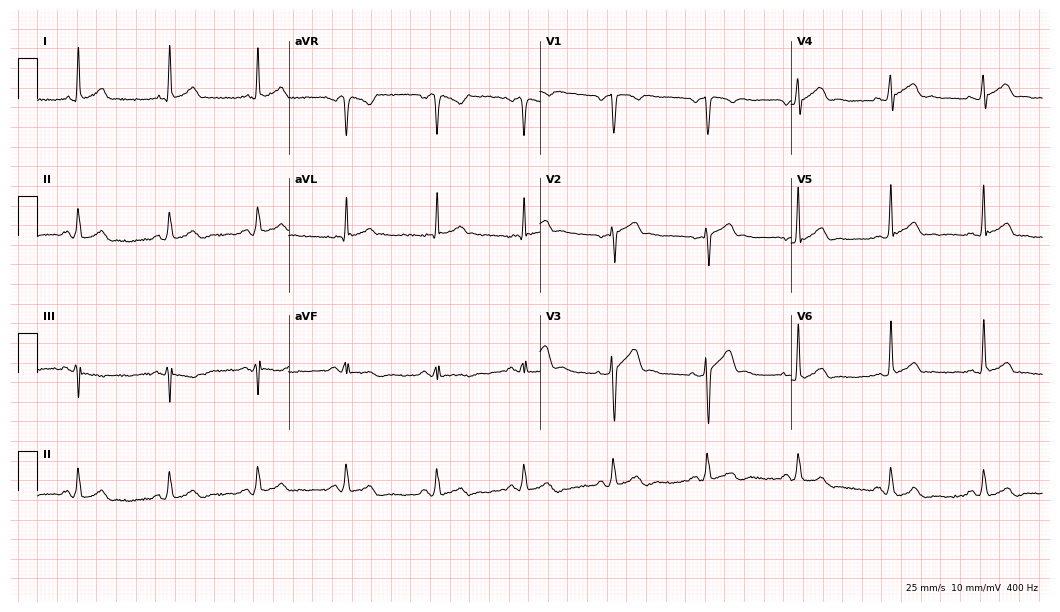
ECG — a male patient, 48 years old. Screened for six findings — first-degree AV block, right bundle branch block (RBBB), left bundle branch block (LBBB), sinus bradycardia, atrial fibrillation (AF), sinus tachycardia — none is recorded. Other findings, if any, are not listed.